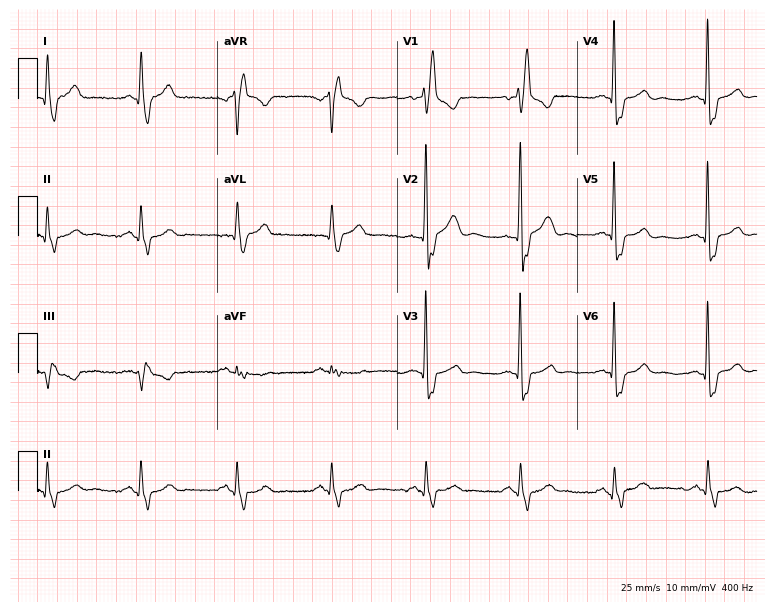
ECG (7.3-second recording at 400 Hz) — a man, 74 years old. Findings include right bundle branch block (RBBB).